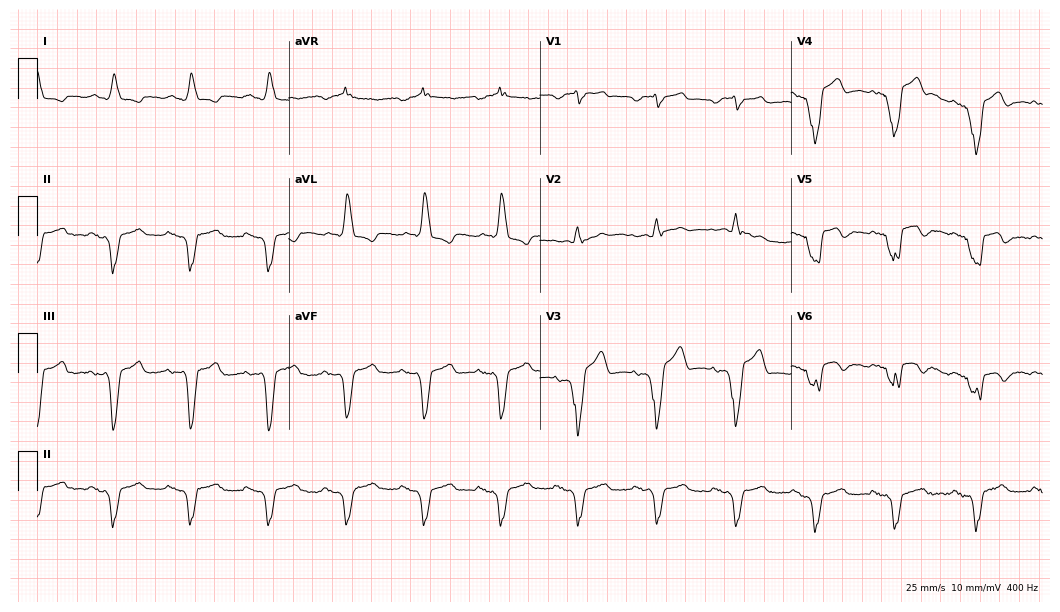
12-lead ECG from a man, 79 years old. Findings include left bundle branch block (LBBB).